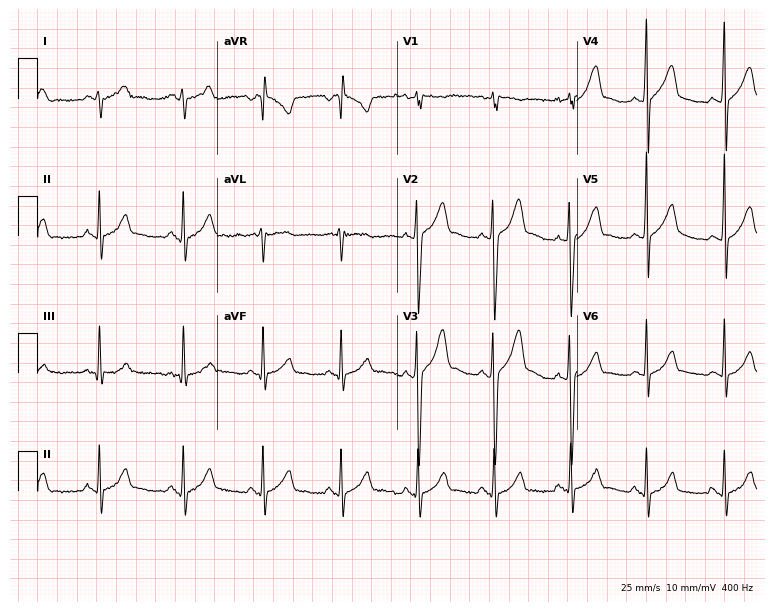
12-lead ECG (7.3-second recording at 400 Hz) from a 22-year-old male. Screened for six findings — first-degree AV block, right bundle branch block, left bundle branch block, sinus bradycardia, atrial fibrillation, sinus tachycardia — none is recorded. Other findings, if any, are not listed.